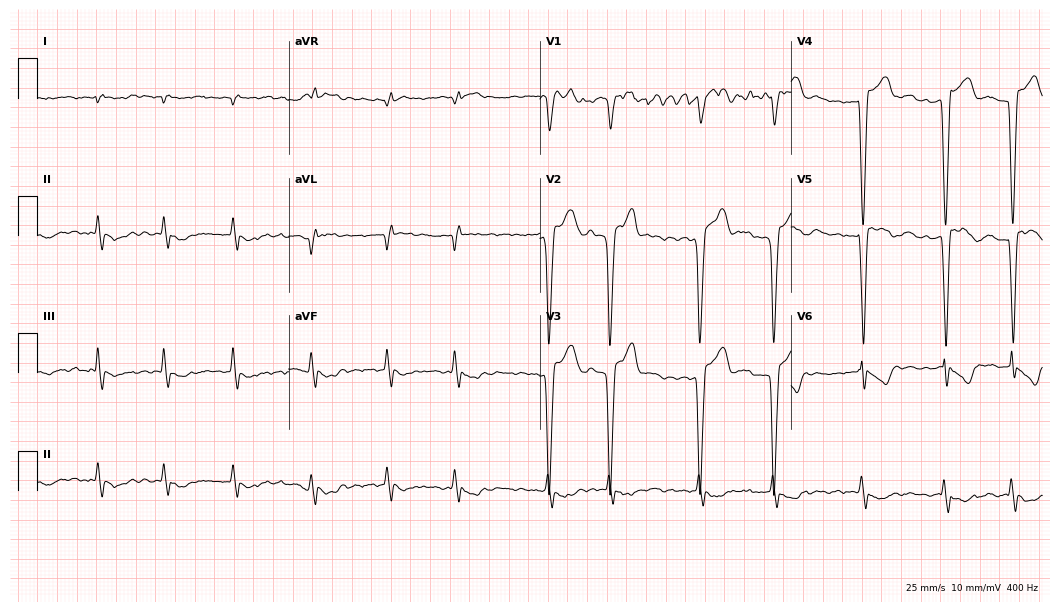
12-lead ECG from a woman, 85 years old (10.2-second recording at 400 Hz). No first-degree AV block, right bundle branch block (RBBB), left bundle branch block (LBBB), sinus bradycardia, atrial fibrillation (AF) or sinus tachycardia recorded for this tracing. Findings outside these six are not listed.